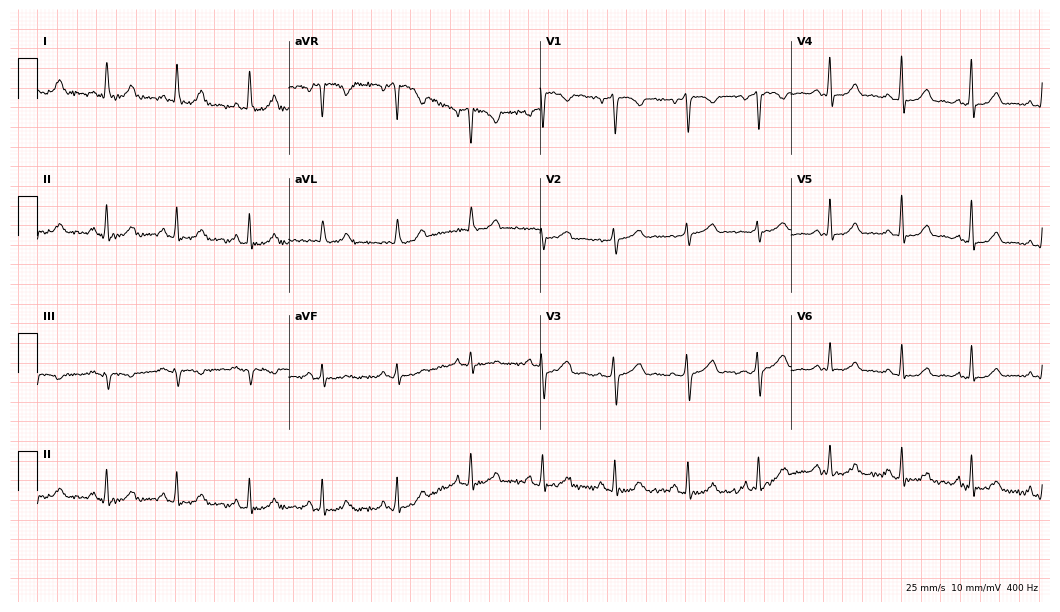
Electrocardiogram (10.2-second recording at 400 Hz), a woman, 41 years old. Overall reading on record: normal ECG.